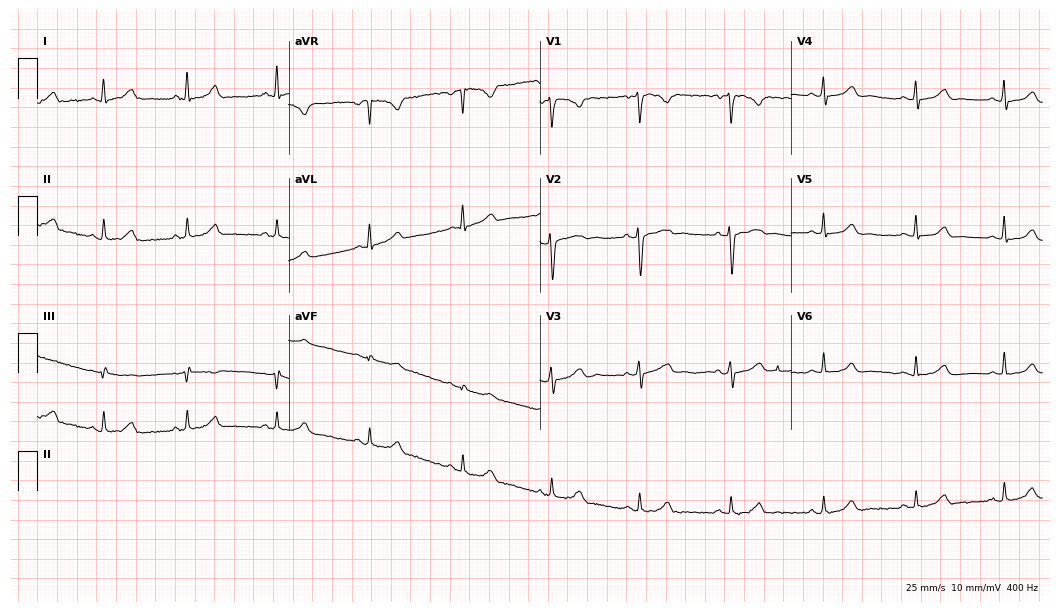
12-lead ECG from a 40-year-old female patient (10.2-second recording at 400 Hz). Recorded interpretation: within normal limits.